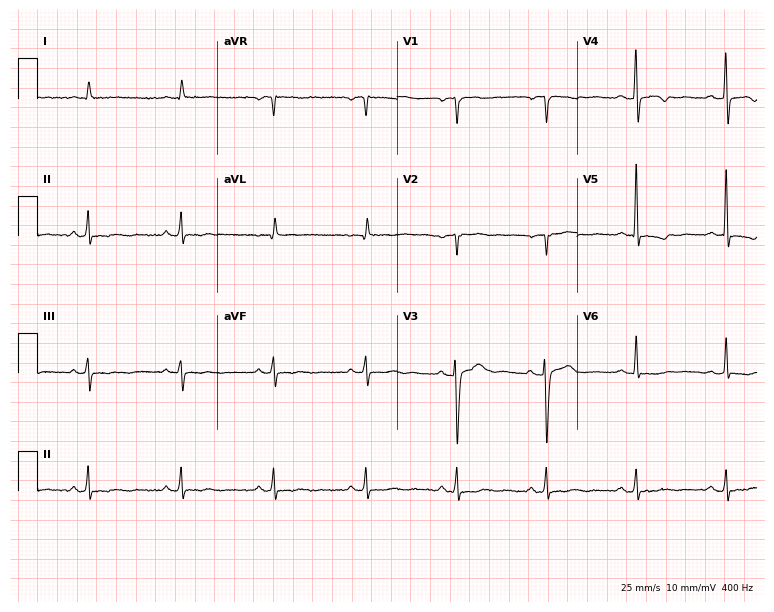
Resting 12-lead electrocardiogram (7.3-second recording at 400 Hz). Patient: a woman, 67 years old. None of these six findings is recorded: first-degree AV block, right bundle branch block, left bundle branch block, sinus bradycardia, atrial fibrillation, sinus tachycardia.